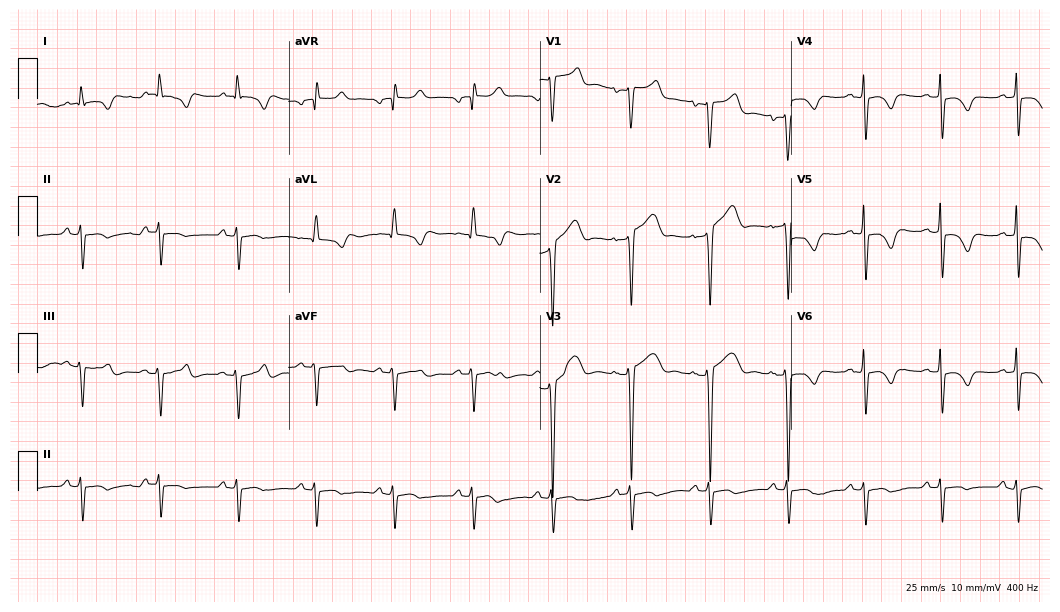
Electrocardiogram (10.2-second recording at 400 Hz), a man, 60 years old. Of the six screened findings (first-degree AV block, right bundle branch block, left bundle branch block, sinus bradycardia, atrial fibrillation, sinus tachycardia), none is recorded.